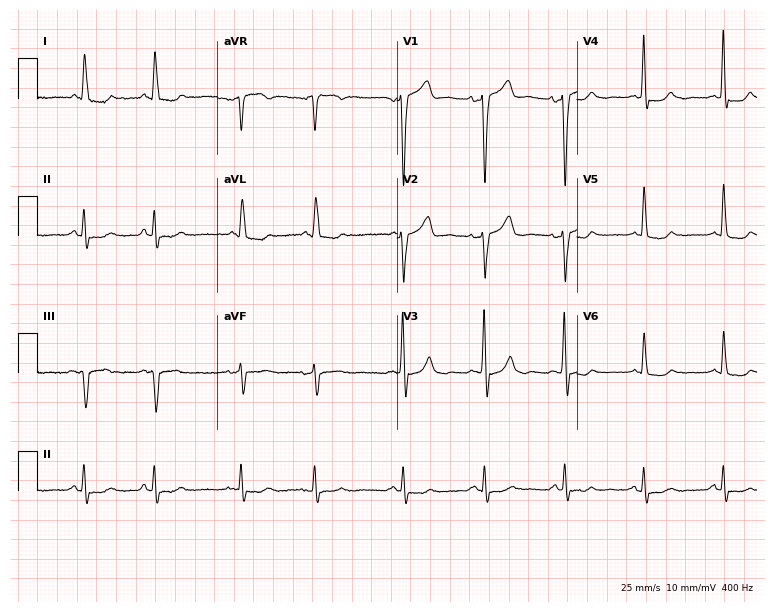
ECG — a male, 84 years old. Screened for six findings — first-degree AV block, right bundle branch block, left bundle branch block, sinus bradycardia, atrial fibrillation, sinus tachycardia — none is recorded. Findings outside these six are not listed.